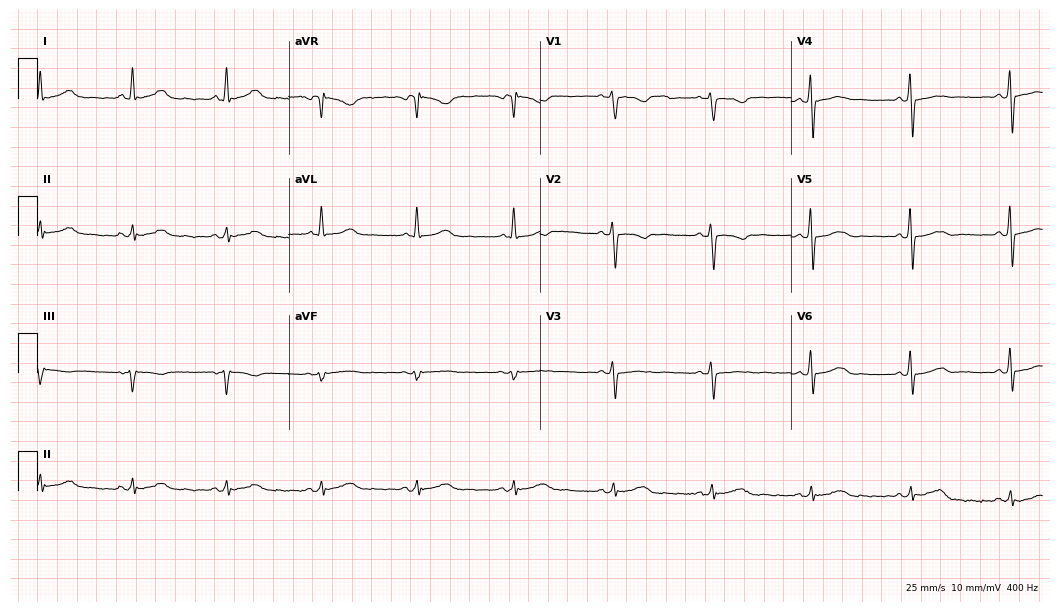
Electrocardiogram, a woman, 65 years old. Of the six screened findings (first-degree AV block, right bundle branch block, left bundle branch block, sinus bradycardia, atrial fibrillation, sinus tachycardia), none is recorded.